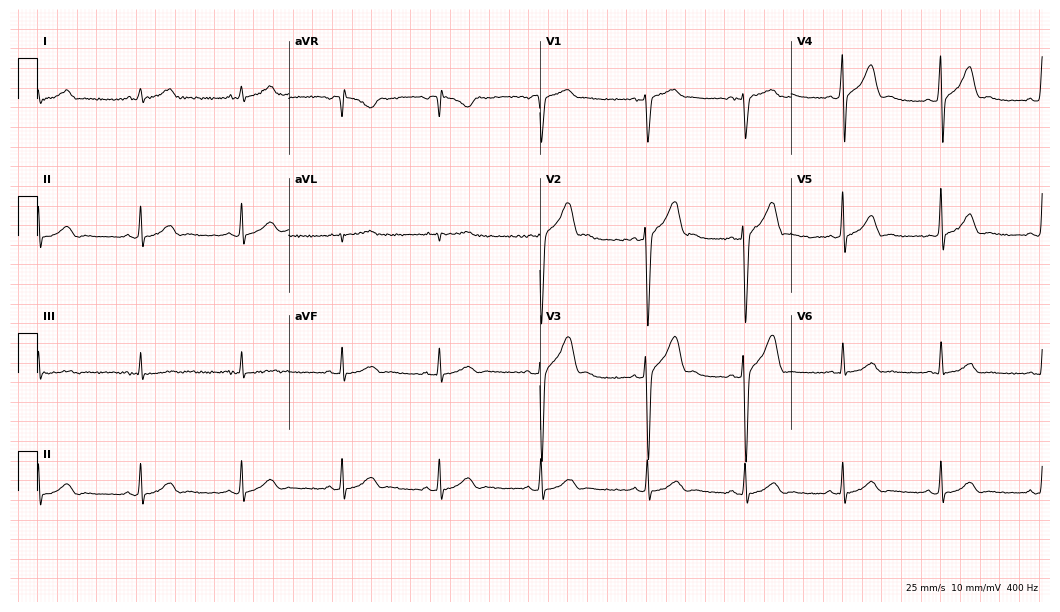
Resting 12-lead electrocardiogram (10.2-second recording at 400 Hz). Patient: a 54-year-old man. None of these six findings is recorded: first-degree AV block, right bundle branch block, left bundle branch block, sinus bradycardia, atrial fibrillation, sinus tachycardia. Findings outside these six are not listed.